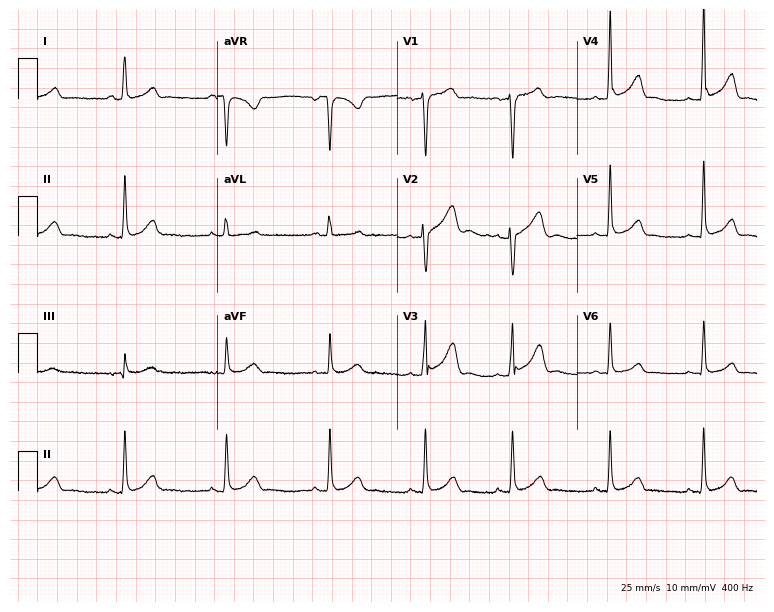
12-lead ECG (7.3-second recording at 400 Hz) from a female patient, 17 years old. Screened for six findings — first-degree AV block, right bundle branch block, left bundle branch block, sinus bradycardia, atrial fibrillation, sinus tachycardia — none is recorded. Findings outside these six are not listed.